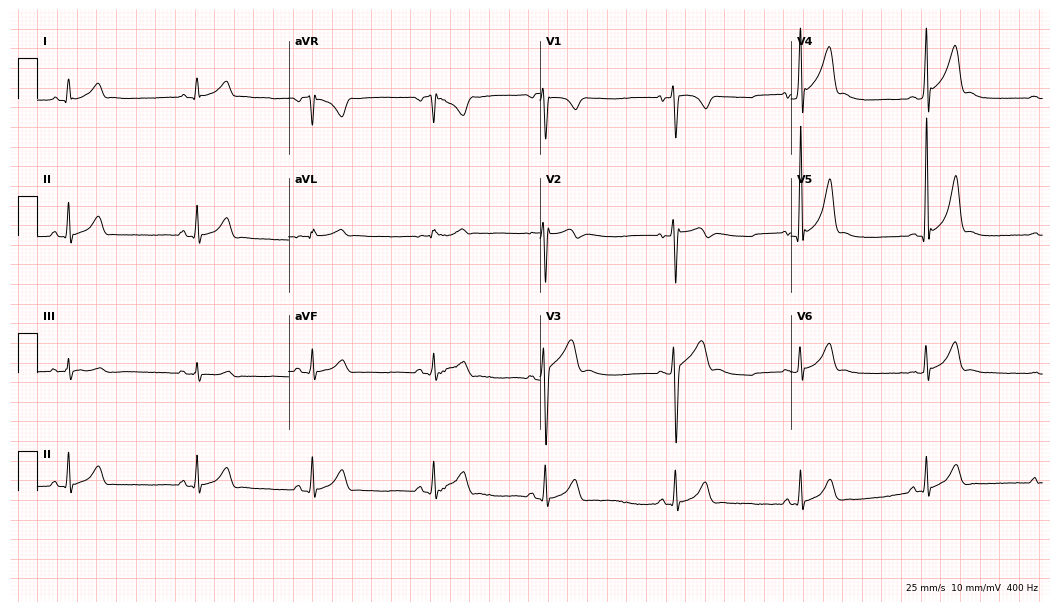
12-lead ECG from a male, 17 years old. No first-degree AV block, right bundle branch block, left bundle branch block, sinus bradycardia, atrial fibrillation or sinus tachycardia recorded for this tracing. Only these six findings were labelled.